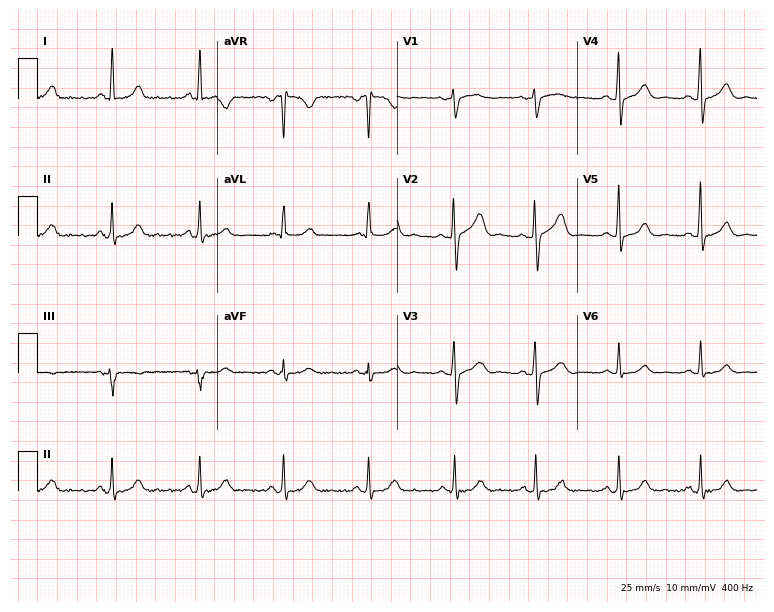
12-lead ECG from a 63-year-old female patient. Labelled as a normal ECG.